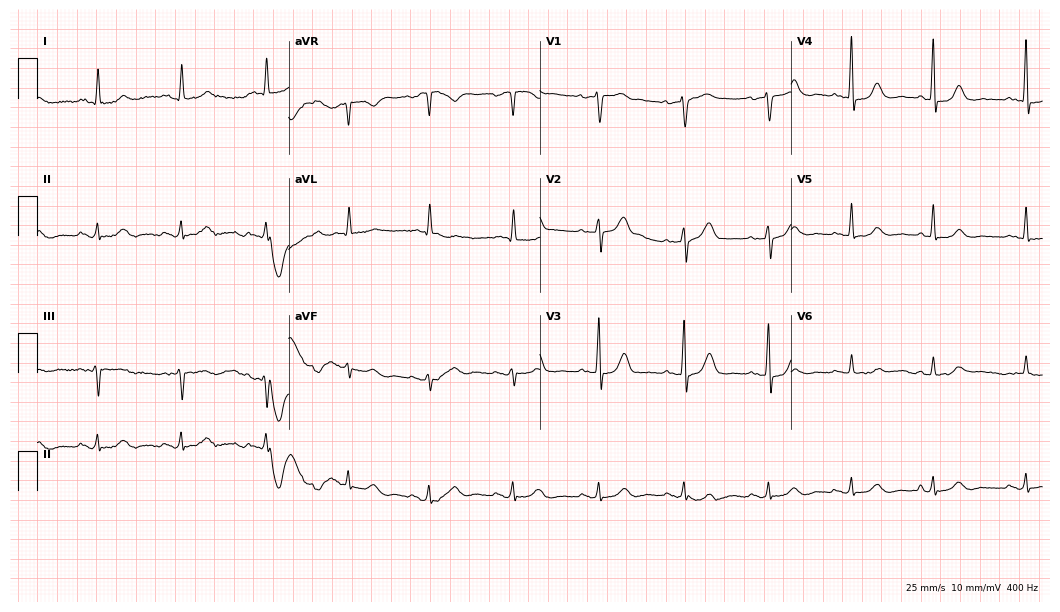
12-lead ECG from a woman, 63 years old. Labelled as a normal ECG.